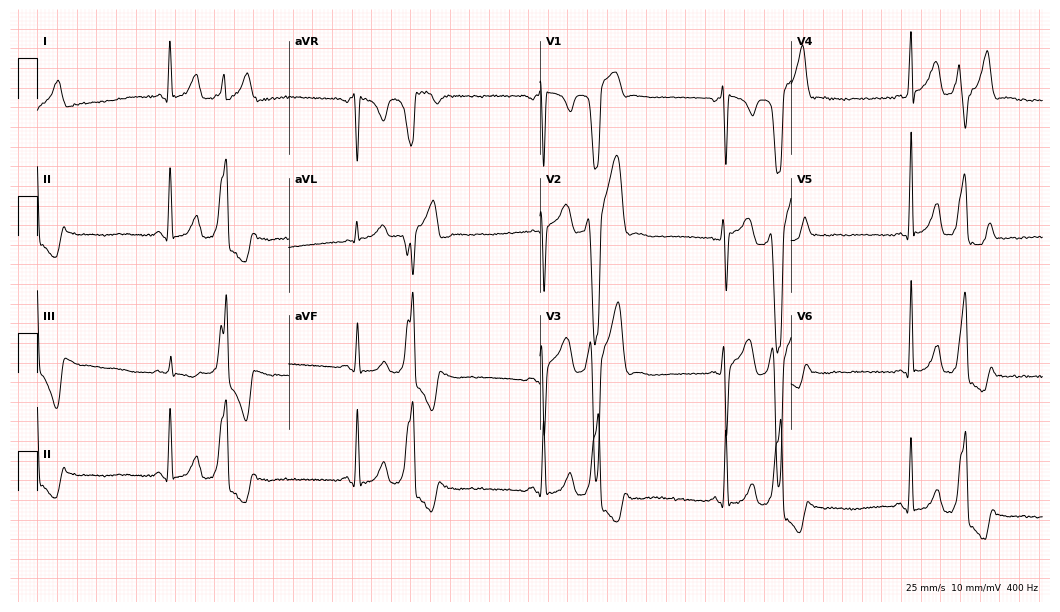
Resting 12-lead electrocardiogram (10.2-second recording at 400 Hz). Patient: a 29-year-old male. None of these six findings is recorded: first-degree AV block, right bundle branch block, left bundle branch block, sinus bradycardia, atrial fibrillation, sinus tachycardia.